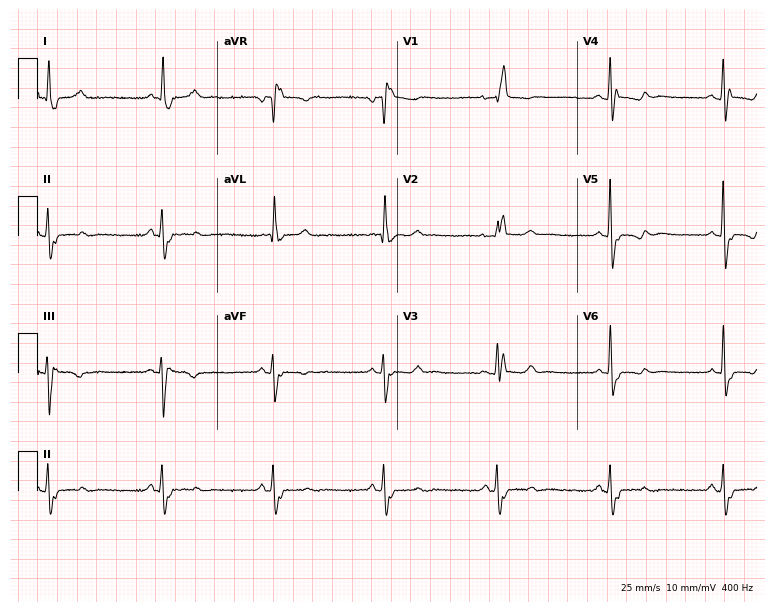
Electrocardiogram, a woman, 83 years old. Interpretation includes right bundle branch block (RBBB).